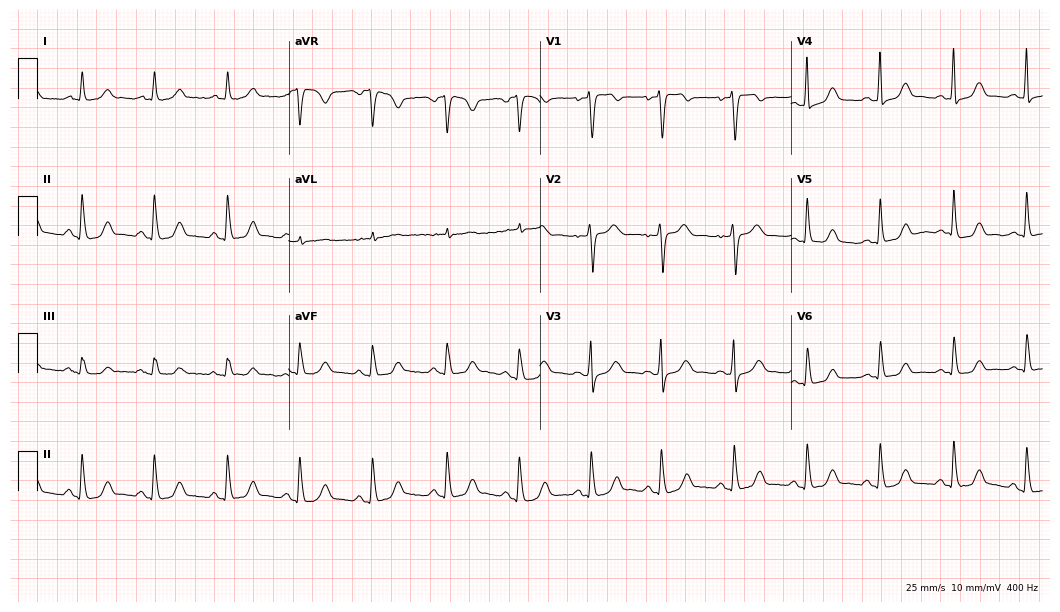
12-lead ECG from a 48-year-old woman (10.2-second recording at 400 Hz). Recorded interpretation: within normal limits.